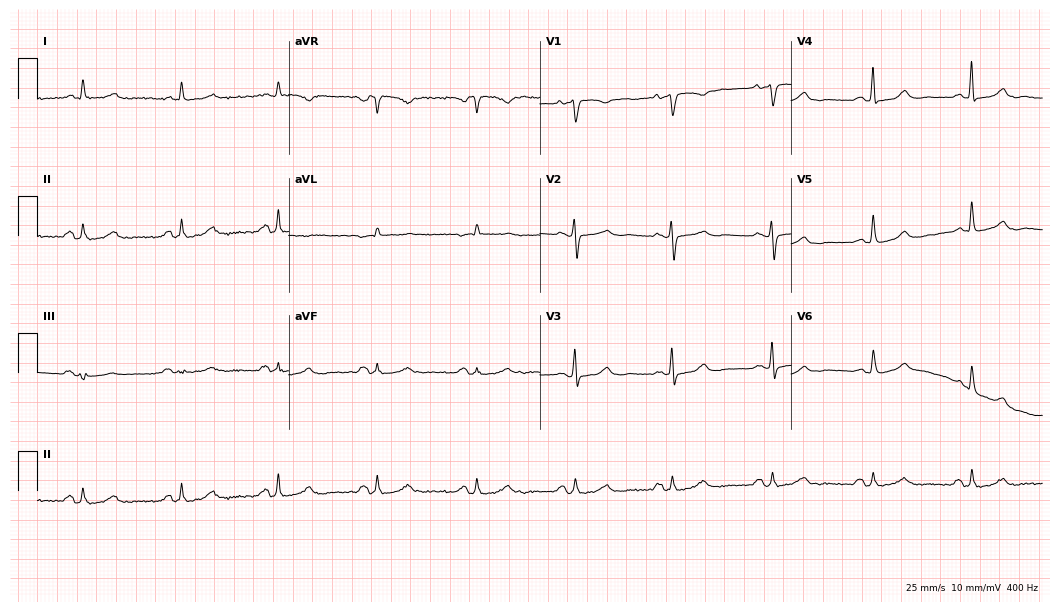
Standard 12-lead ECG recorded from a female, 66 years old (10.2-second recording at 400 Hz). Read as a normal ECG.